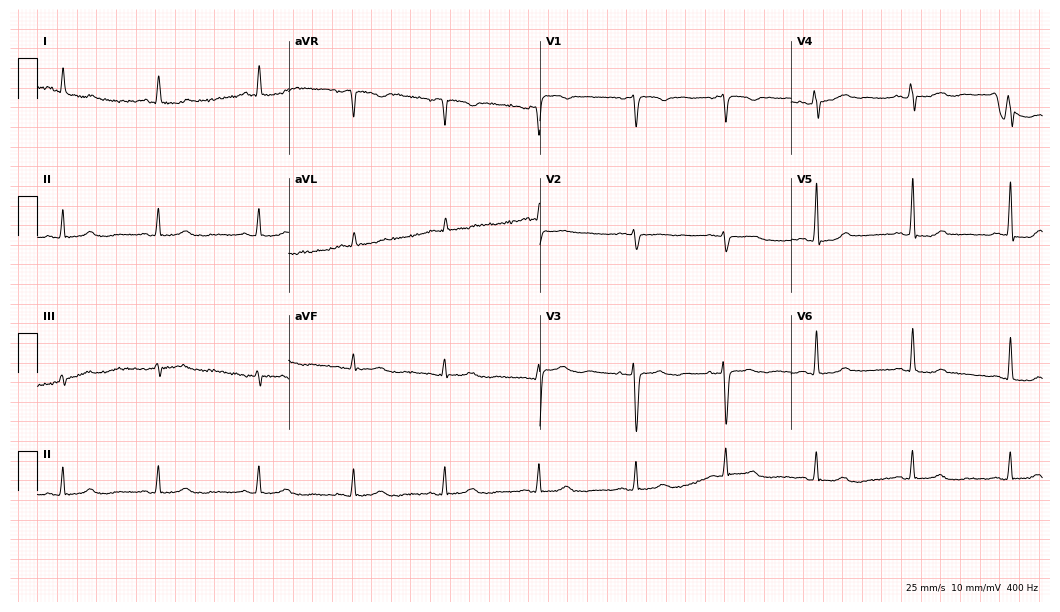
ECG — a woman, 67 years old. Screened for six findings — first-degree AV block, right bundle branch block (RBBB), left bundle branch block (LBBB), sinus bradycardia, atrial fibrillation (AF), sinus tachycardia — none is recorded. Only these six findings were labelled.